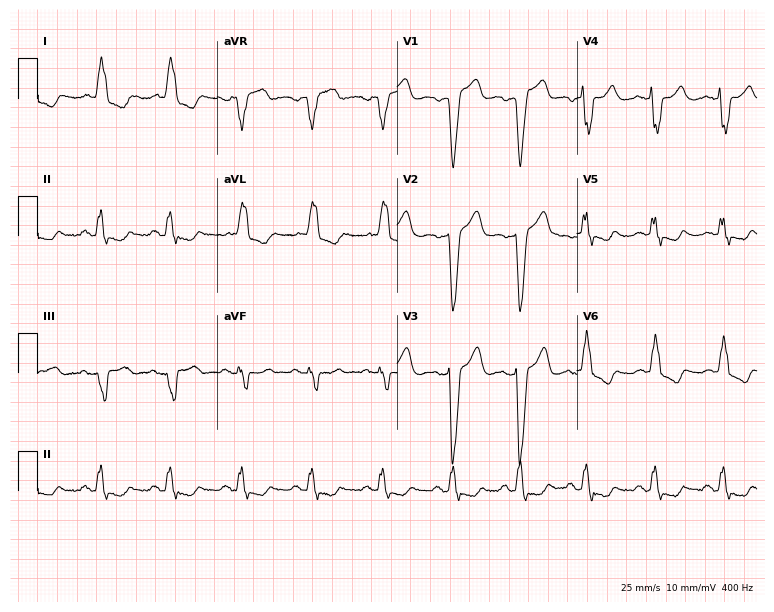
12-lead ECG from a woman, 78 years old. Findings include left bundle branch block.